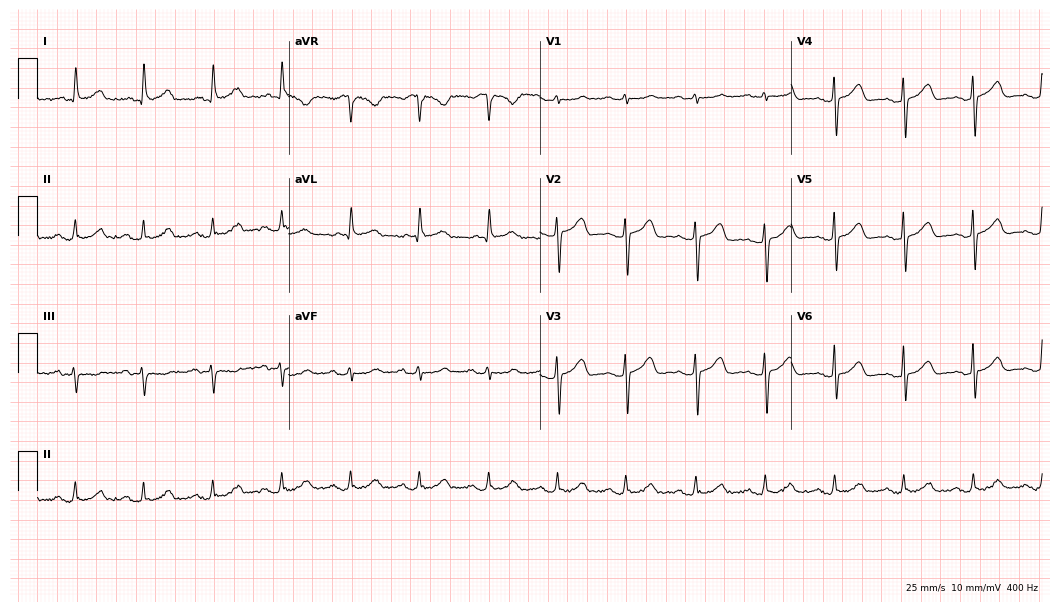
12-lead ECG from a 70-year-old female. No first-degree AV block, right bundle branch block, left bundle branch block, sinus bradycardia, atrial fibrillation or sinus tachycardia recorded for this tracing. Other findings, if any, are not listed.